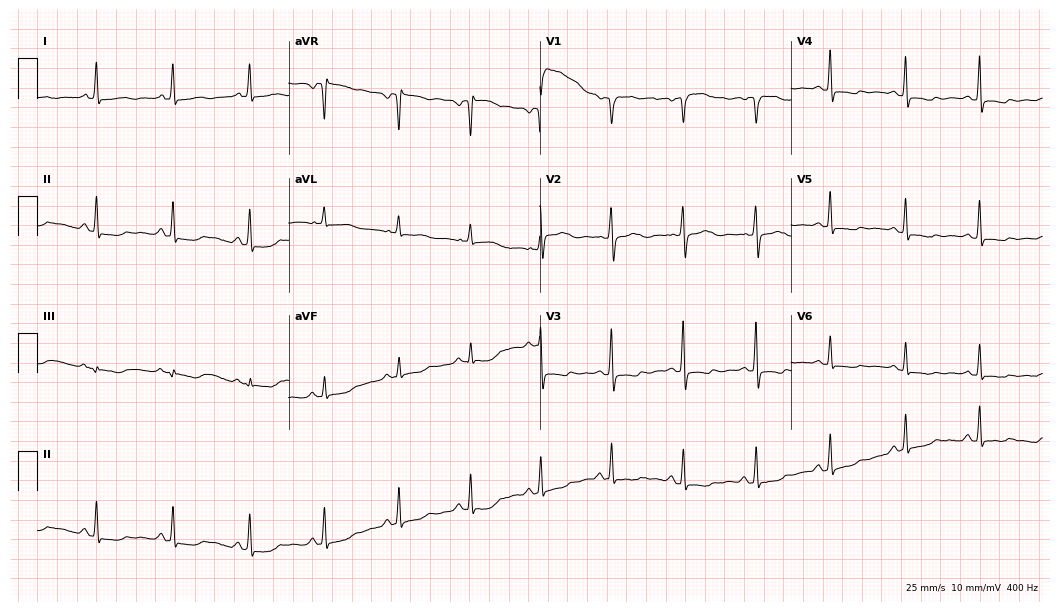
Electrocardiogram (10.2-second recording at 400 Hz), a woman, 61 years old. Of the six screened findings (first-degree AV block, right bundle branch block, left bundle branch block, sinus bradycardia, atrial fibrillation, sinus tachycardia), none is recorded.